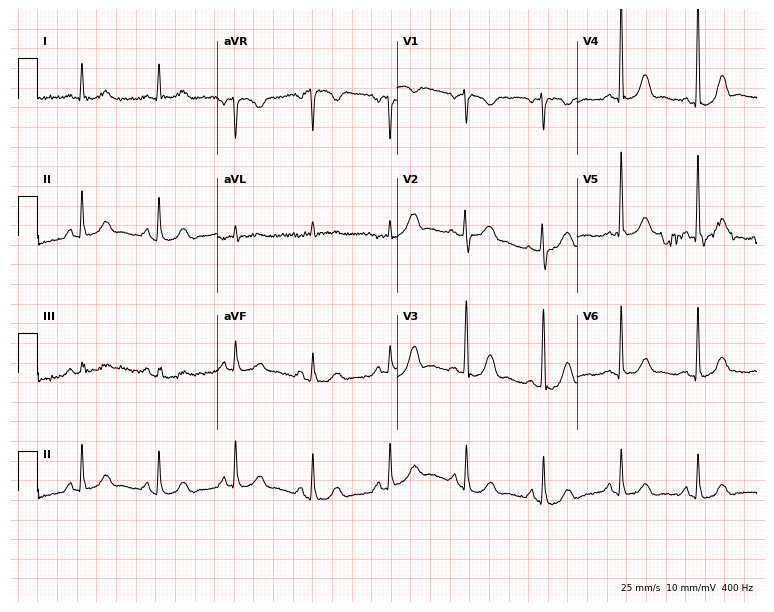
ECG (7.3-second recording at 400 Hz) — a woman, 75 years old. Labelled as a normal ECG.